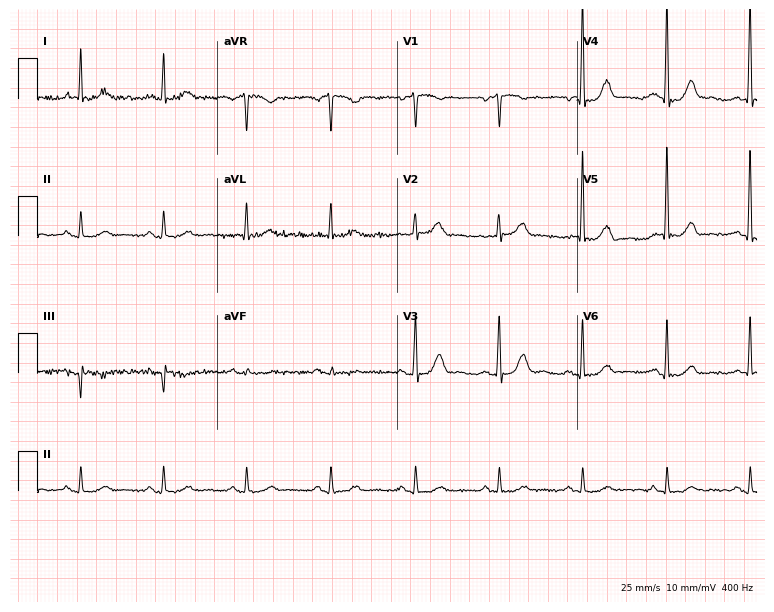
ECG — a man, 81 years old. Labelled as a normal ECG.